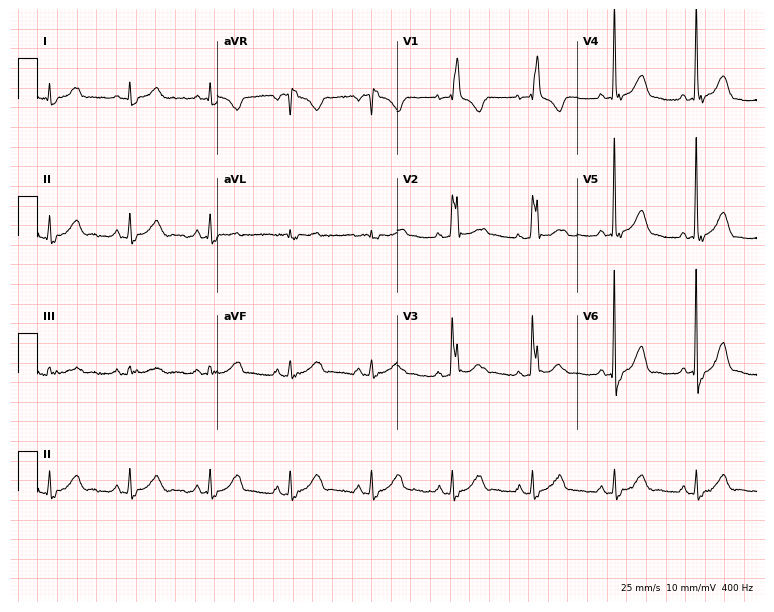
Standard 12-lead ECG recorded from a 76-year-old female patient. None of these six findings is recorded: first-degree AV block, right bundle branch block, left bundle branch block, sinus bradycardia, atrial fibrillation, sinus tachycardia. Only these six findings were labelled.